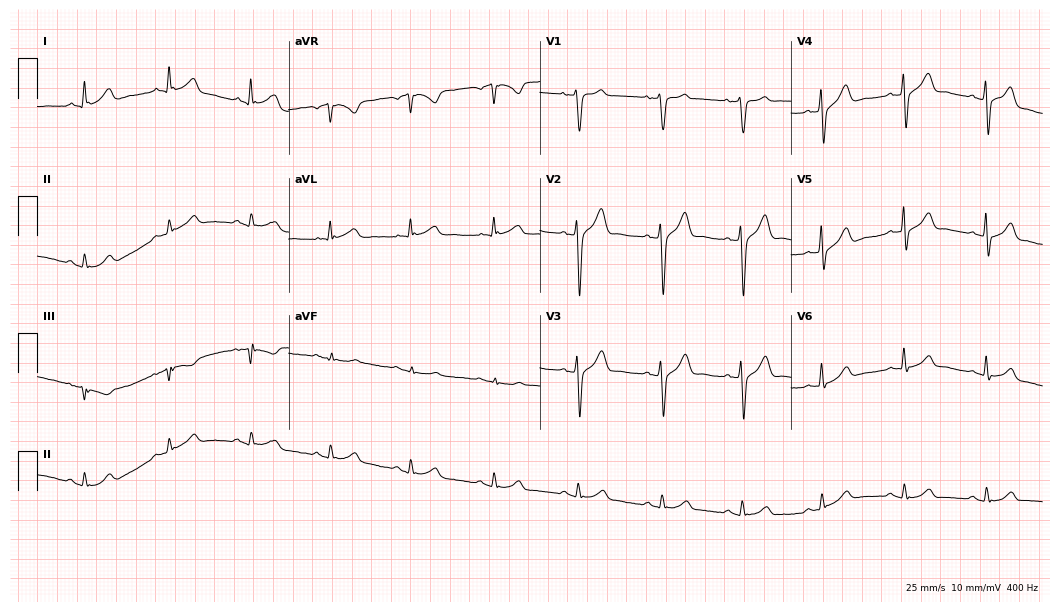
Electrocardiogram, a man, 45 years old. Overall reading on record: normal ECG.